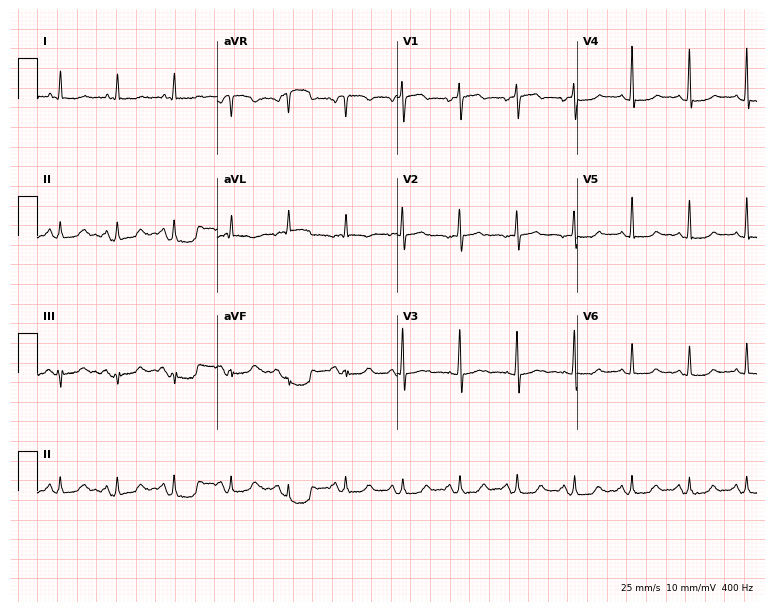
ECG (7.3-second recording at 400 Hz) — a 61-year-old woman. Findings include sinus tachycardia (a sinus rate of 100 beats per minute or more).